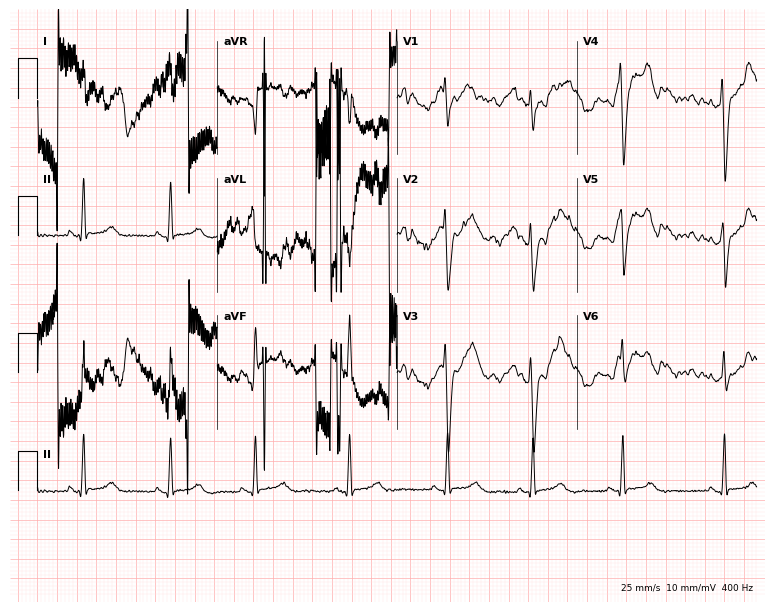
Electrocardiogram (7.3-second recording at 400 Hz), a 19-year-old man. Of the six screened findings (first-degree AV block, right bundle branch block (RBBB), left bundle branch block (LBBB), sinus bradycardia, atrial fibrillation (AF), sinus tachycardia), none is recorded.